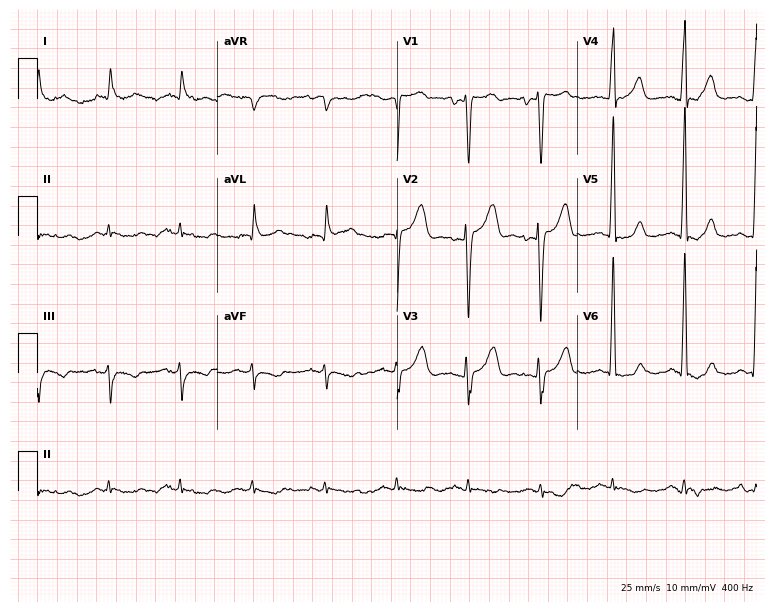
Electrocardiogram, a 73-year-old male. Of the six screened findings (first-degree AV block, right bundle branch block, left bundle branch block, sinus bradycardia, atrial fibrillation, sinus tachycardia), none is recorded. Only these six findings were labelled.